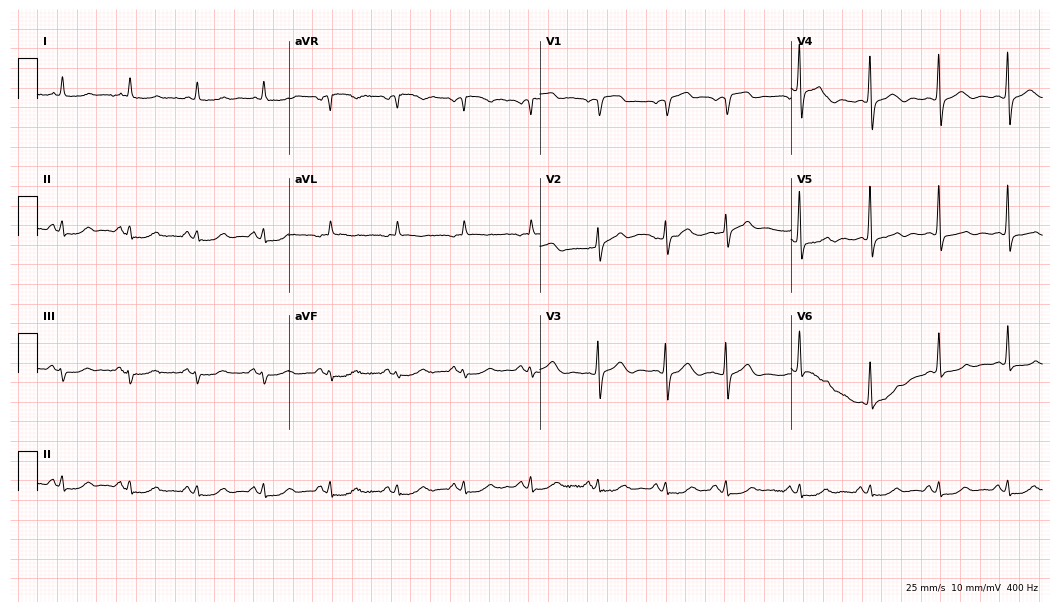
Electrocardiogram, a male, 75 years old. Overall reading on record: normal ECG.